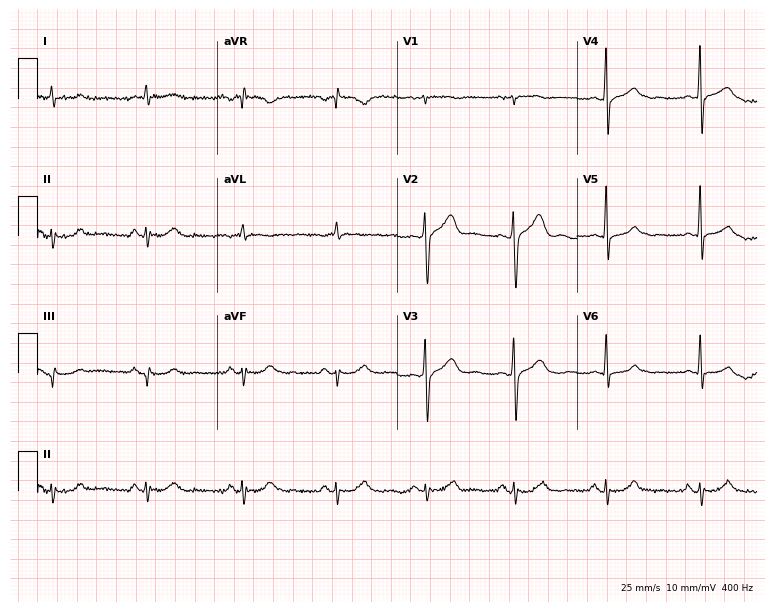
ECG — a male patient, 68 years old. Labelled as a normal ECG.